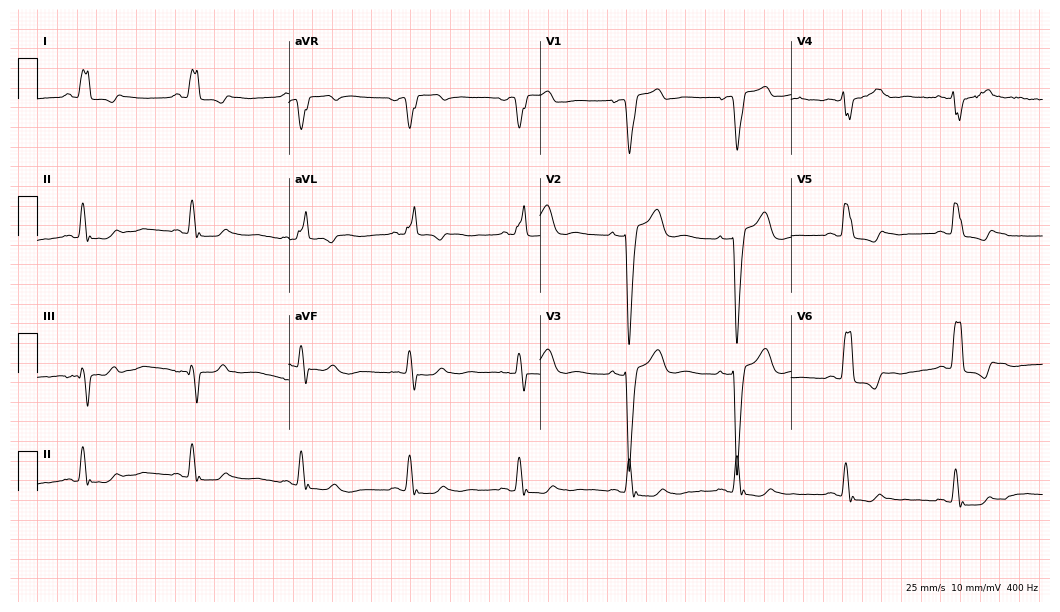
Electrocardiogram (10.2-second recording at 400 Hz), a 78-year-old woman. Interpretation includes left bundle branch block.